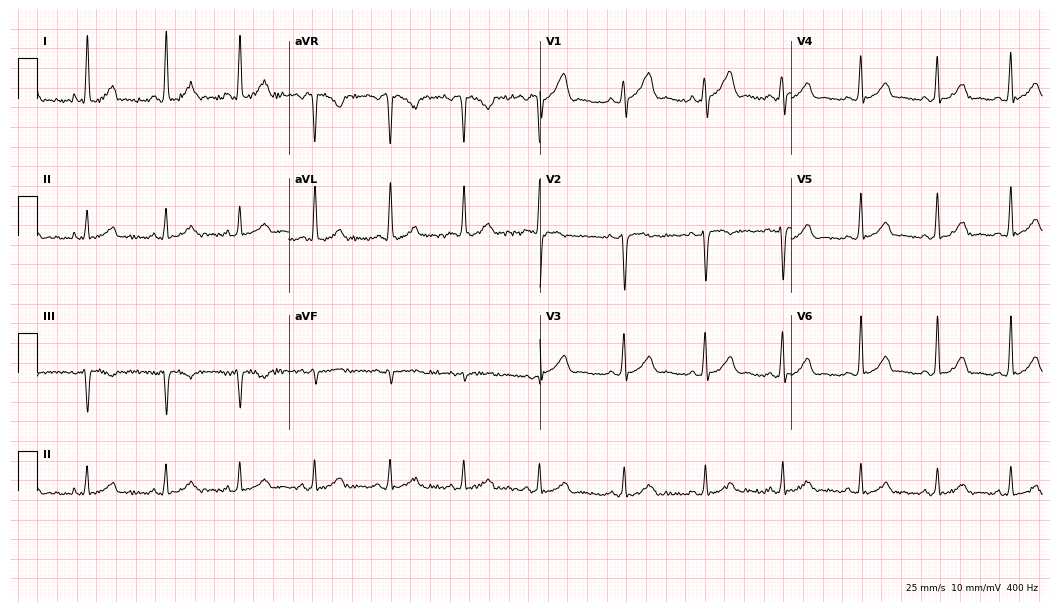
12-lead ECG from a female patient, 25 years old. Labelled as a normal ECG.